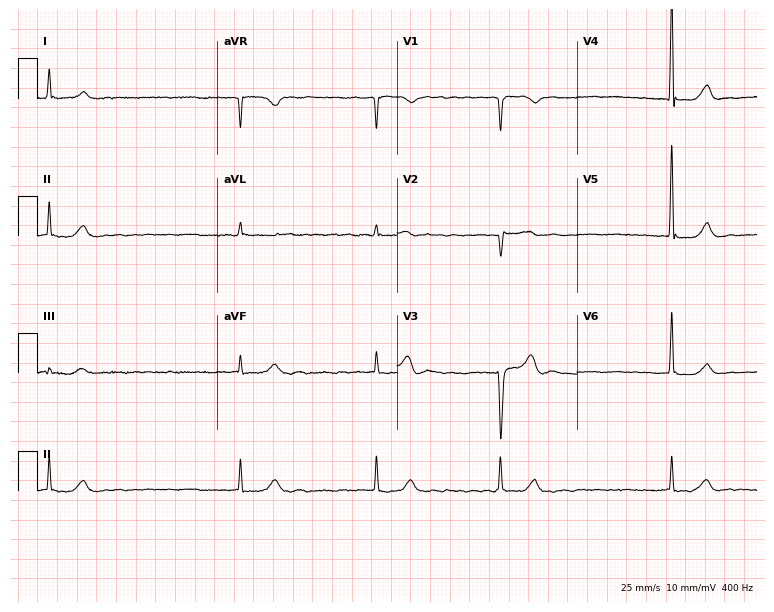
Standard 12-lead ECG recorded from a male patient, 84 years old (7.3-second recording at 400 Hz). The tracing shows atrial fibrillation (AF).